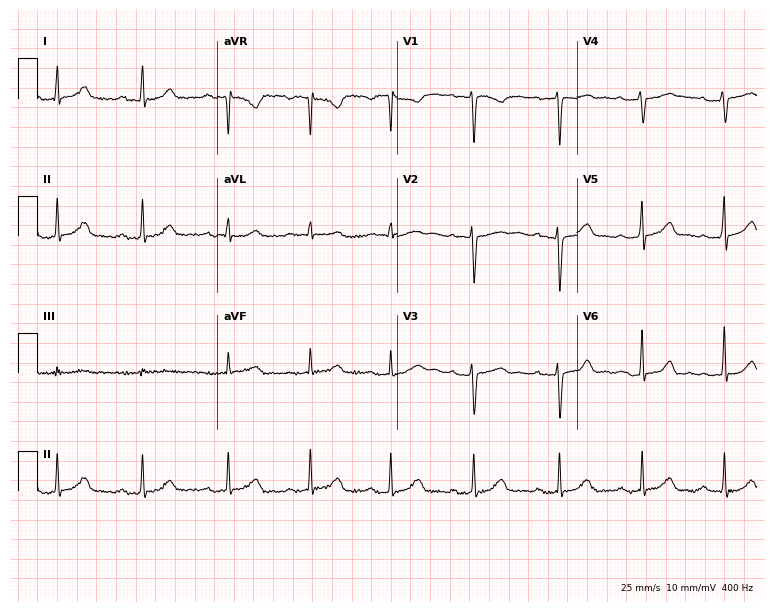
12-lead ECG from a female, 29 years old. Shows first-degree AV block.